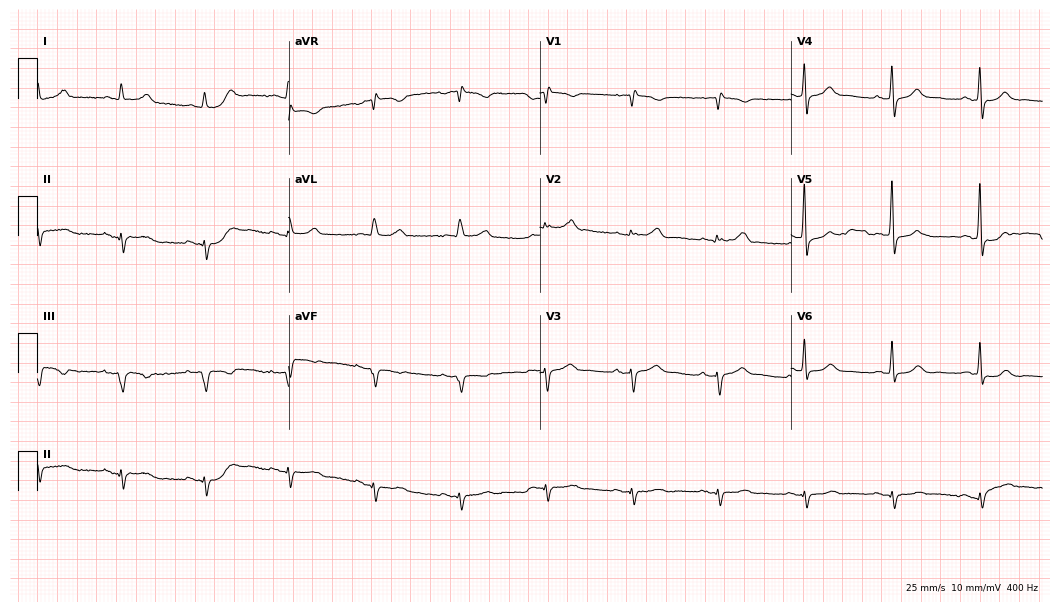
Resting 12-lead electrocardiogram. Patient: a male, 80 years old. None of these six findings is recorded: first-degree AV block, right bundle branch block, left bundle branch block, sinus bradycardia, atrial fibrillation, sinus tachycardia. Other findings, if any, are not listed.